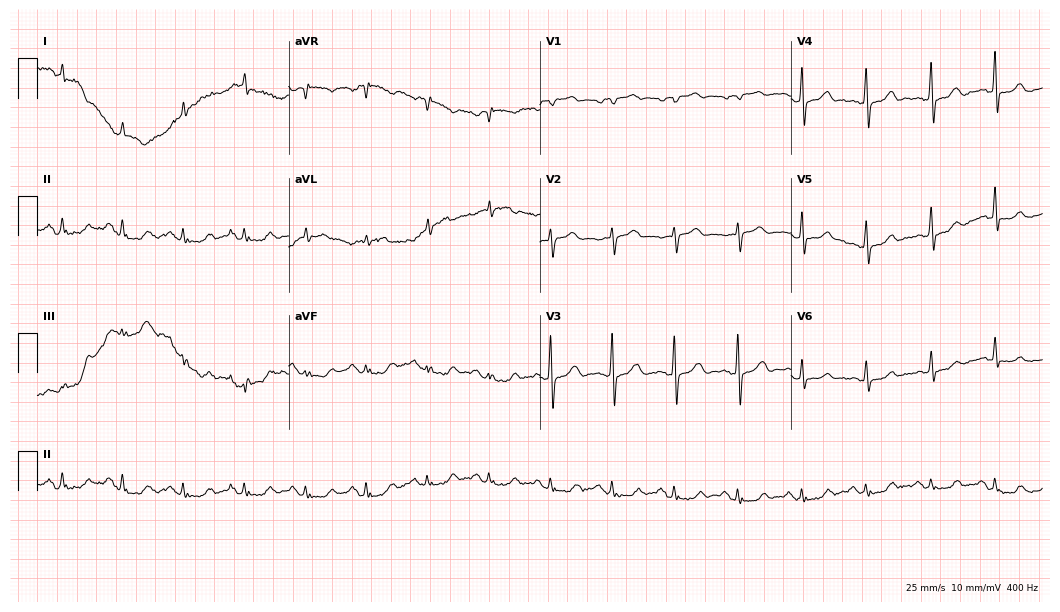
Electrocardiogram, a male patient, 70 years old. Of the six screened findings (first-degree AV block, right bundle branch block, left bundle branch block, sinus bradycardia, atrial fibrillation, sinus tachycardia), none is recorded. Only these six findings were labelled.